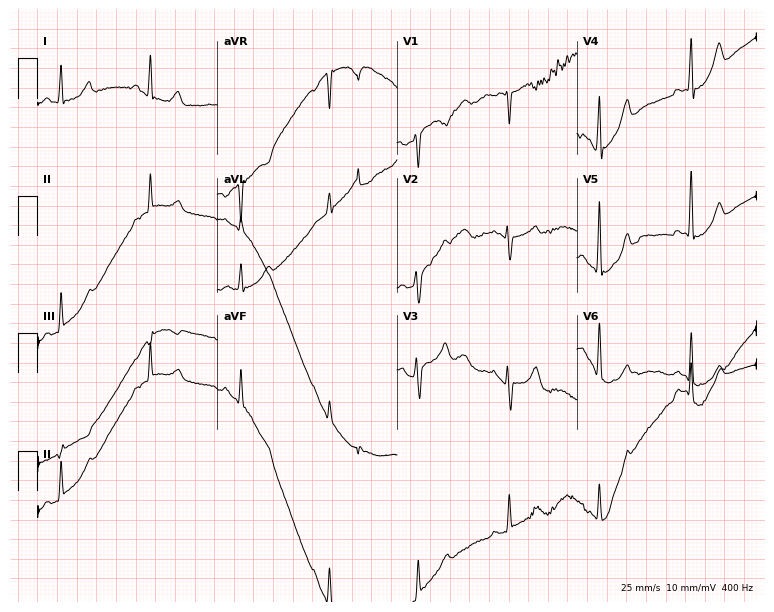
Electrocardiogram (7.3-second recording at 400 Hz), a 59-year-old female. Of the six screened findings (first-degree AV block, right bundle branch block (RBBB), left bundle branch block (LBBB), sinus bradycardia, atrial fibrillation (AF), sinus tachycardia), none is recorded. Other findings, if any, are not listed.